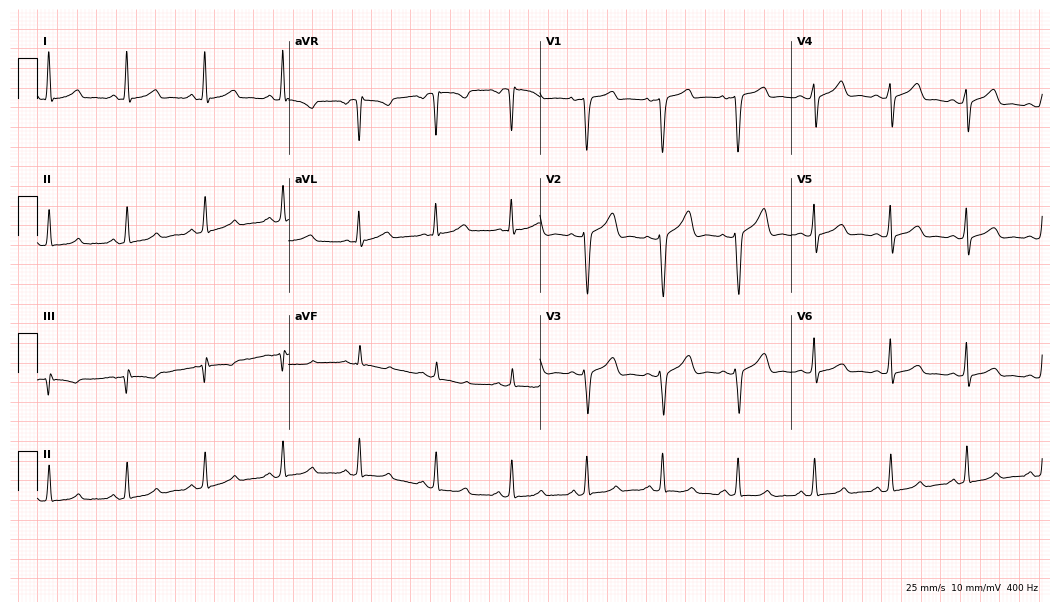
Resting 12-lead electrocardiogram (10.2-second recording at 400 Hz). Patient: a 50-year-old female. Read as a normal ECG.